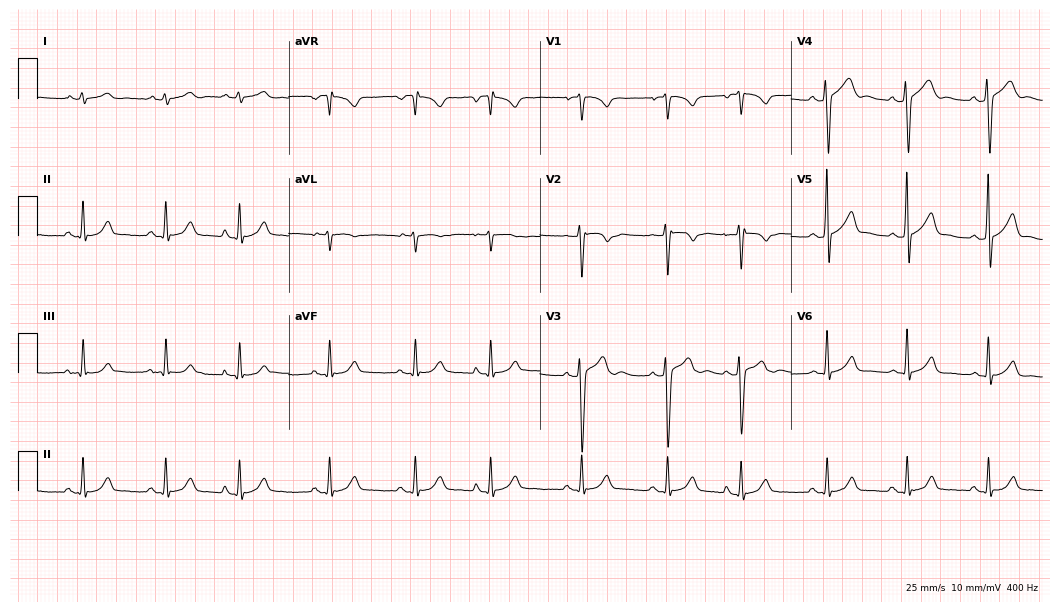
Electrocardiogram (10.2-second recording at 400 Hz), a man, 24 years old. Of the six screened findings (first-degree AV block, right bundle branch block, left bundle branch block, sinus bradycardia, atrial fibrillation, sinus tachycardia), none is recorded. Findings outside these six are not listed.